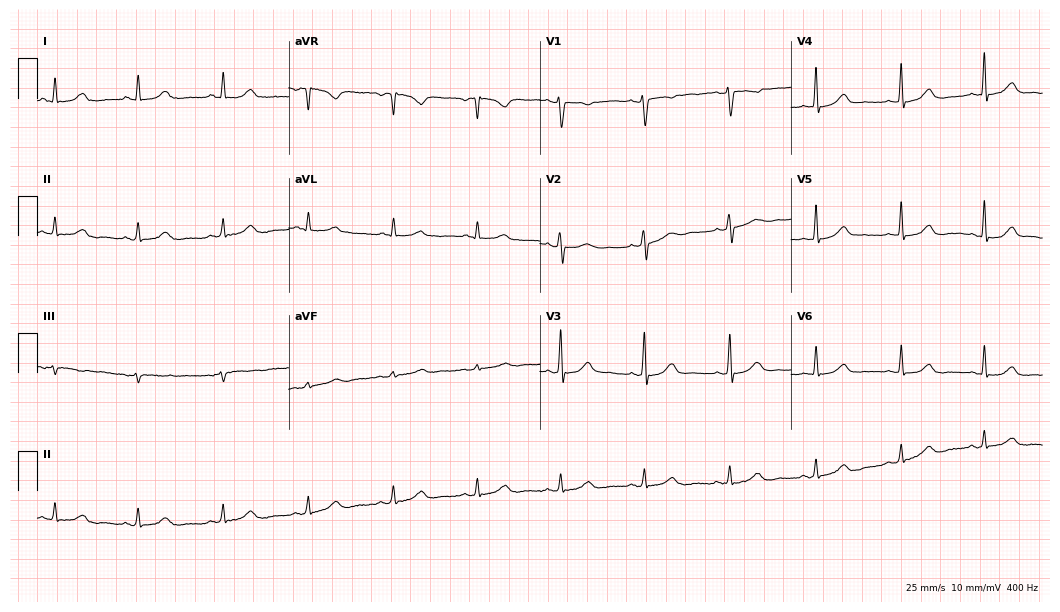
Electrocardiogram, a 51-year-old woman. Overall reading on record: normal ECG.